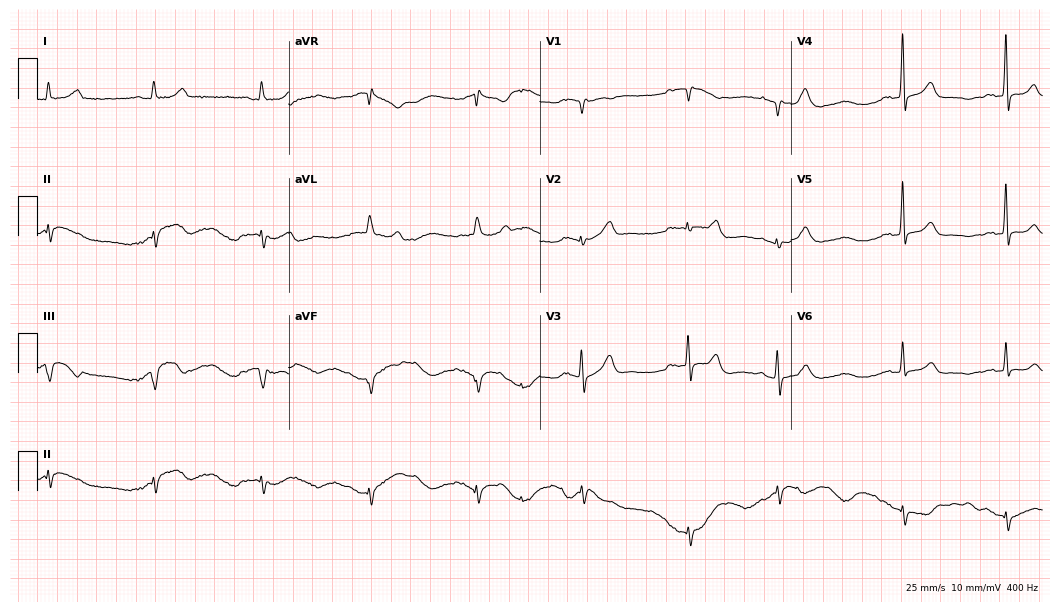
Electrocardiogram (10.2-second recording at 400 Hz), a male, 81 years old. Of the six screened findings (first-degree AV block, right bundle branch block, left bundle branch block, sinus bradycardia, atrial fibrillation, sinus tachycardia), none is recorded.